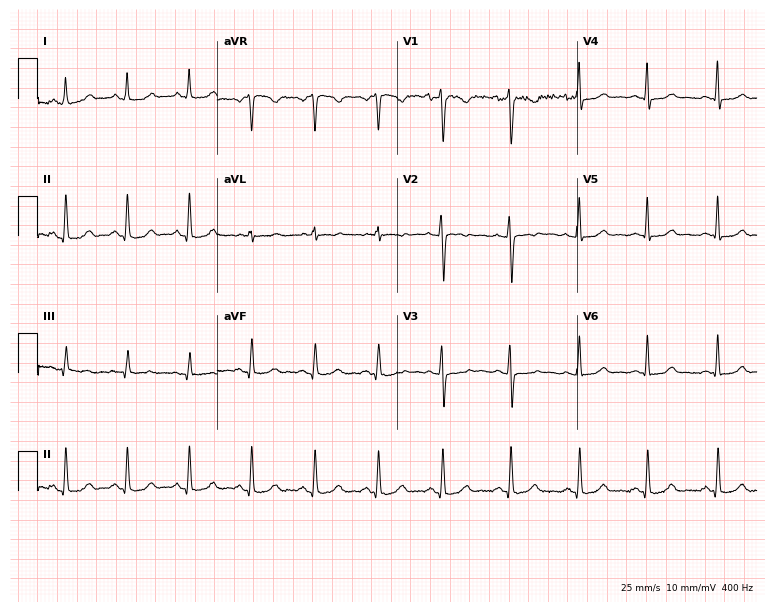
Electrocardiogram (7.3-second recording at 400 Hz), an 18-year-old woman. Of the six screened findings (first-degree AV block, right bundle branch block, left bundle branch block, sinus bradycardia, atrial fibrillation, sinus tachycardia), none is recorded.